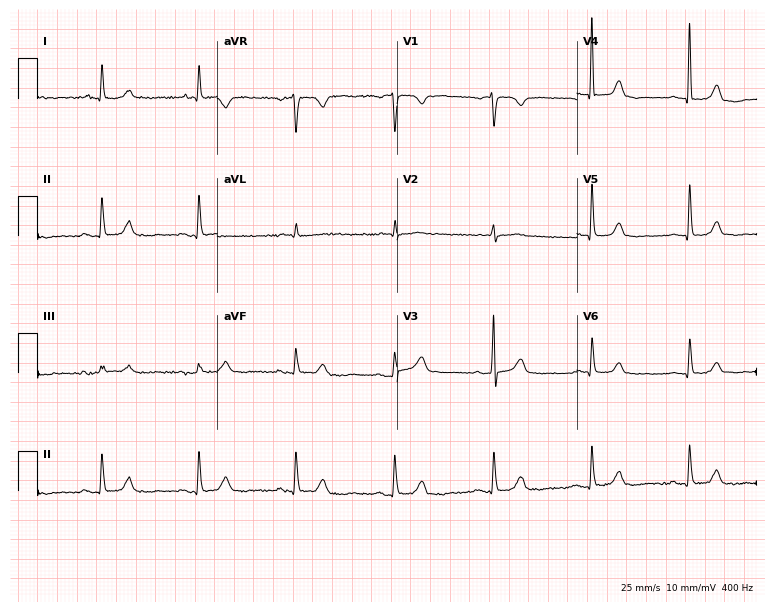
Resting 12-lead electrocardiogram. Patient: a 77-year-old female. None of these six findings is recorded: first-degree AV block, right bundle branch block (RBBB), left bundle branch block (LBBB), sinus bradycardia, atrial fibrillation (AF), sinus tachycardia.